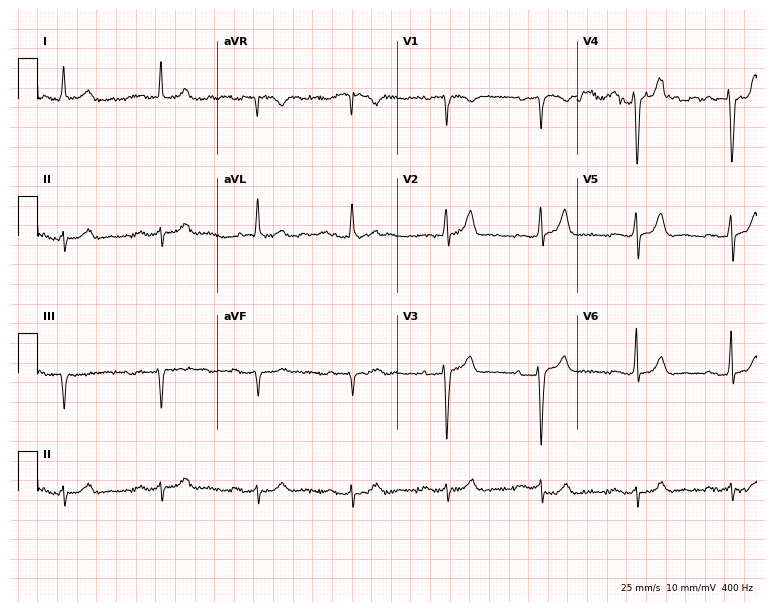
Standard 12-lead ECG recorded from a female, 83 years old (7.3-second recording at 400 Hz). None of these six findings is recorded: first-degree AV block, right bundle branch block (RBBB), left bundle branch block (LBBB), sinus bradycardia, atrial fibrillation (AF), sinus tachycardia. Other findings, if any, are not listed.